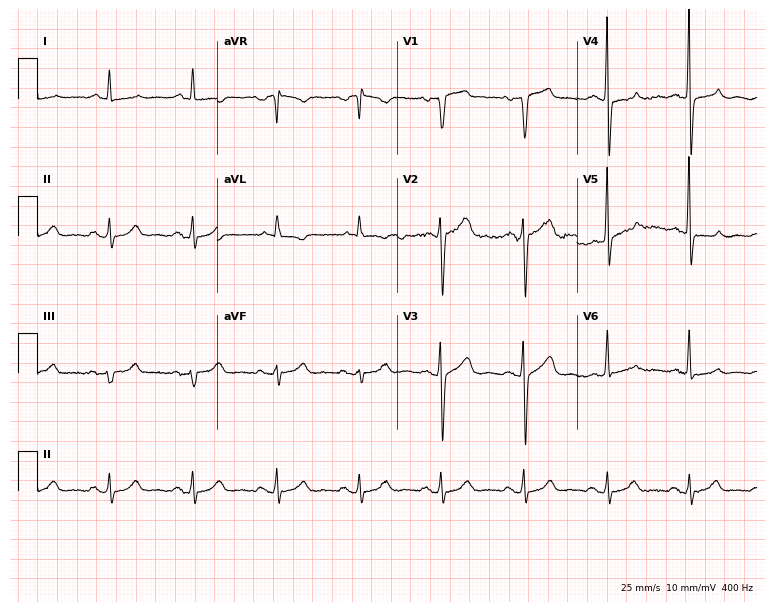
Standard 12-lead ECG recorded from a male, 54 years old. None of these six findings is recorded: first-degree AV block, right bundle branch block, left bundle branch block, sinus bradycardia, atrial fibrillation, sinus tachycardia. Only these six findings were labelled.